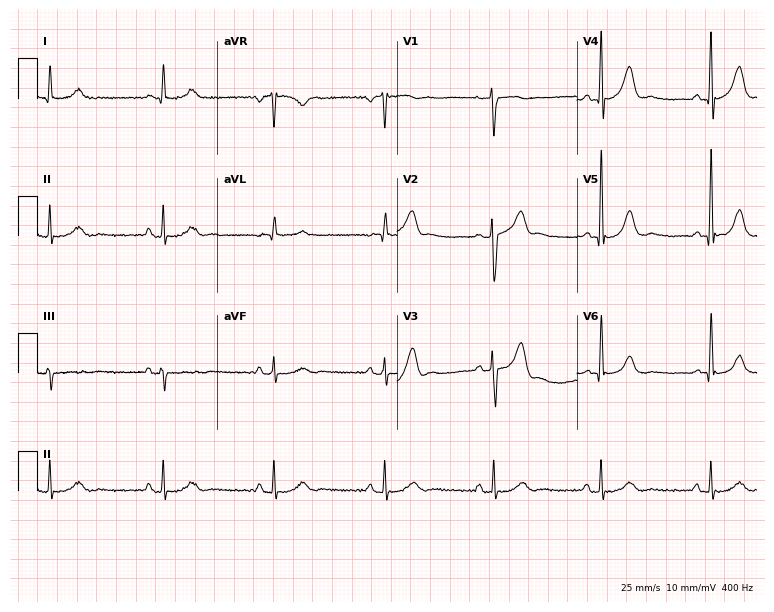
ECG — a man, 74 years old. Labelled as a normal ECG.